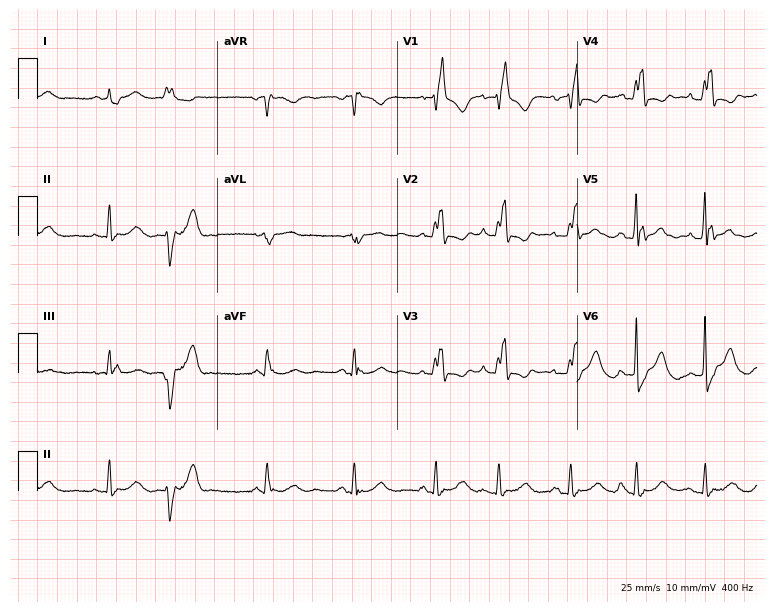
Electrocardiogram (7.3-second recording at 400 Hz), an 80-year-old man. Interpretation includes right bundle branch block.